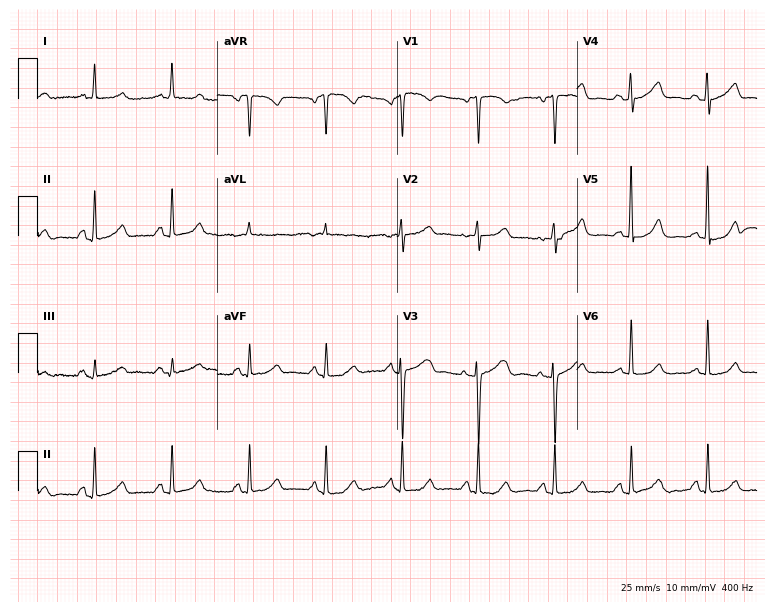
12-lead ECG from a female patient, 62 years old (7.3-second recording at 400 Hz). No first-degree AV block, right bundle branch block (RBBB), left bundle branch block (LBBB), sinus bradycardia, atrial fibrillation (AF) or sinus tachycardia recorded for this tracing. Only these six findings were labelled.